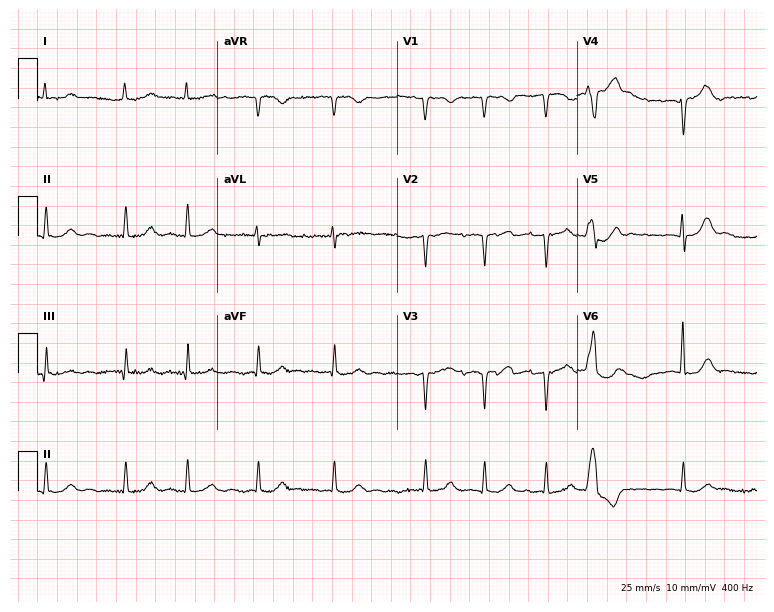
12-lead ECG from a female, 85 years old. Findings include atrial fibrillation.